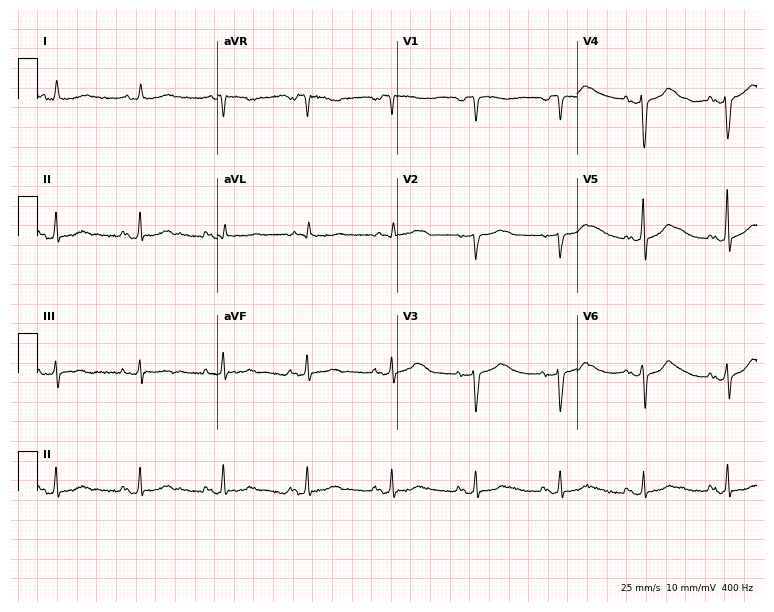
ECG — a female, 80 years old. Screened for six findings — first-degree AV block, right bundle branch block, left bundle branch block, sinus bradycardia, atrial fibrillation, sinus tachycardia — none is recorded. Findings outside these six are not listed.